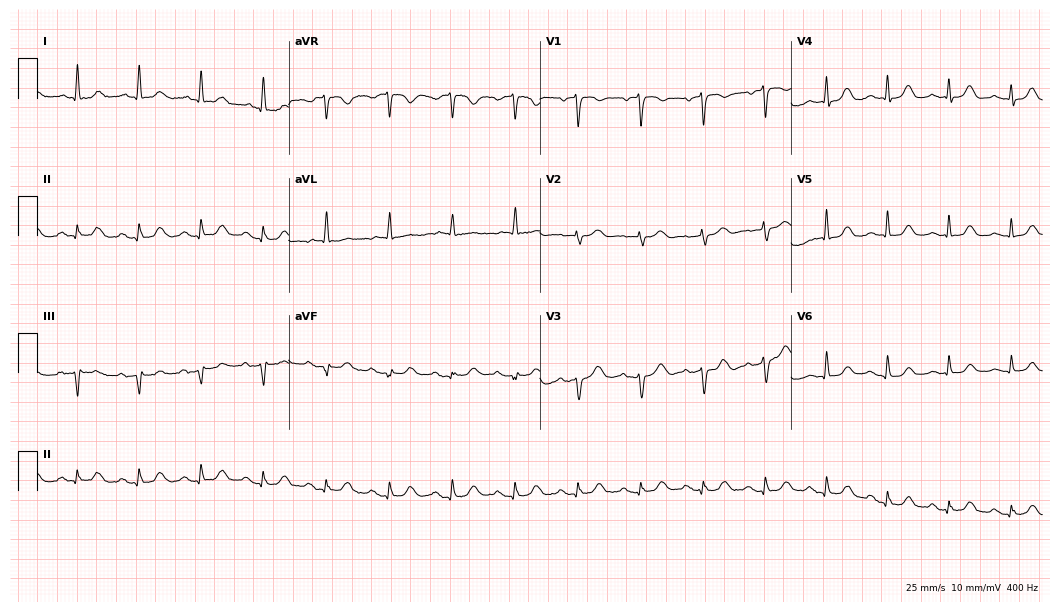
ECG — a female, 83 years old. Labelled as a normal ECG.